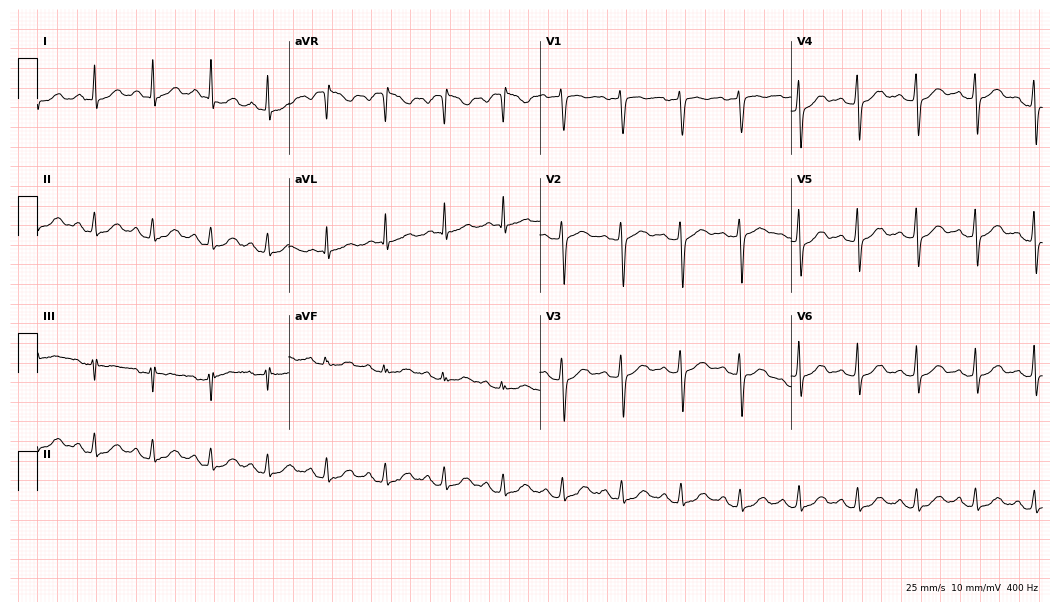
Electrocardiogram, a 60-year-old woman. Overall reading on record: normal ECG.